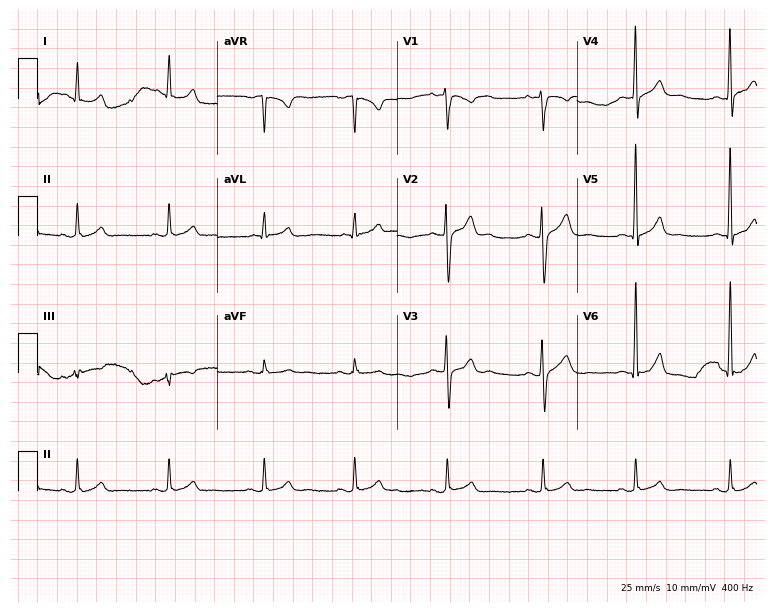
Resting 12-lead electrocardiogram. Patient: a male, 36 years old. None of these six findings is recorded: first-degree AV block, right bundle branch block, left bundle branch block, sinus bradycardia, atrial fibrillation, sinus tachycardia.